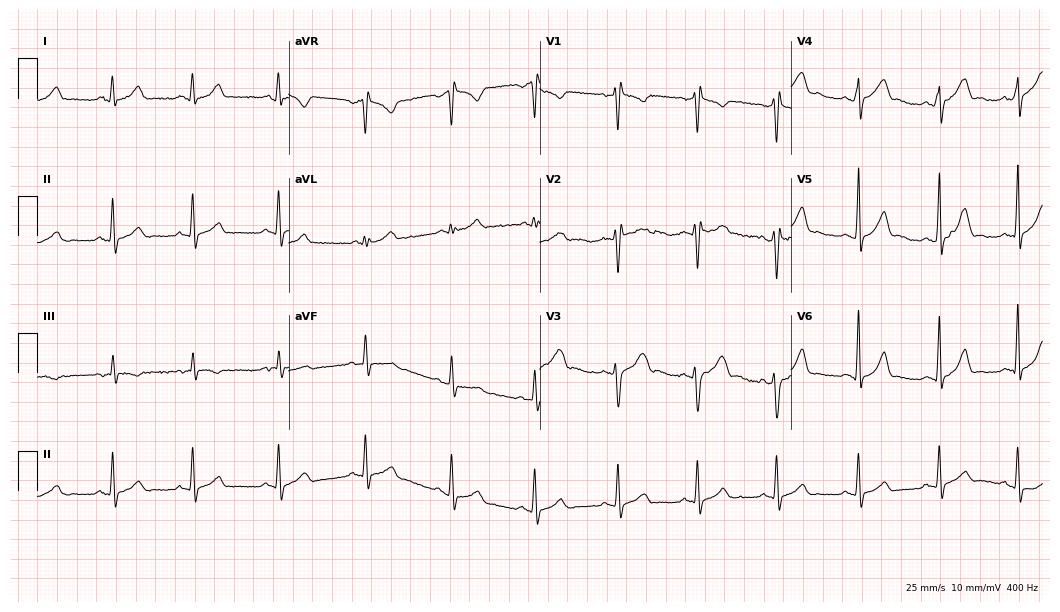
Electrocardiogram, a 23-year-old male. Of the six screened findings (first-degree AV block, right bundle branch block (RBBB), left bundle branch block (LBBB), sinus bradycardia, atrial fibrillation (AF), sinus tachycardia), none is recorded.